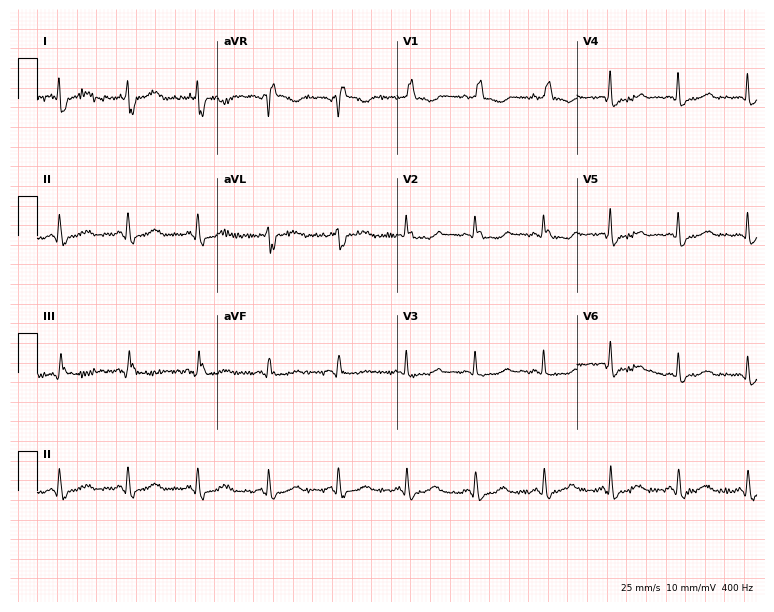
ECG — a 54-year-old woman. Screened for six findings — first-degree AV block, right bundle branch block (RBBB), left bundle branch block (LBBB), sinus bradycardia, atrial fibrillation (AF), sinus tachycardia — none is recorded.